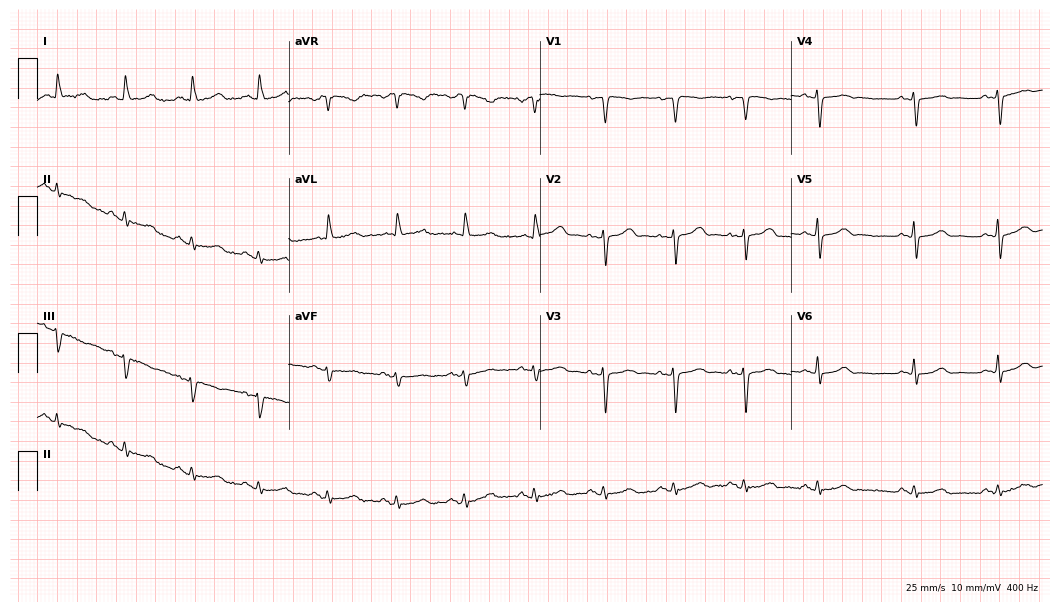
Resting 12-lead electrocardiogram (10.2-second recording at 400 Hz). Patient: a 76-year-old woman. Read as a normal ECG.